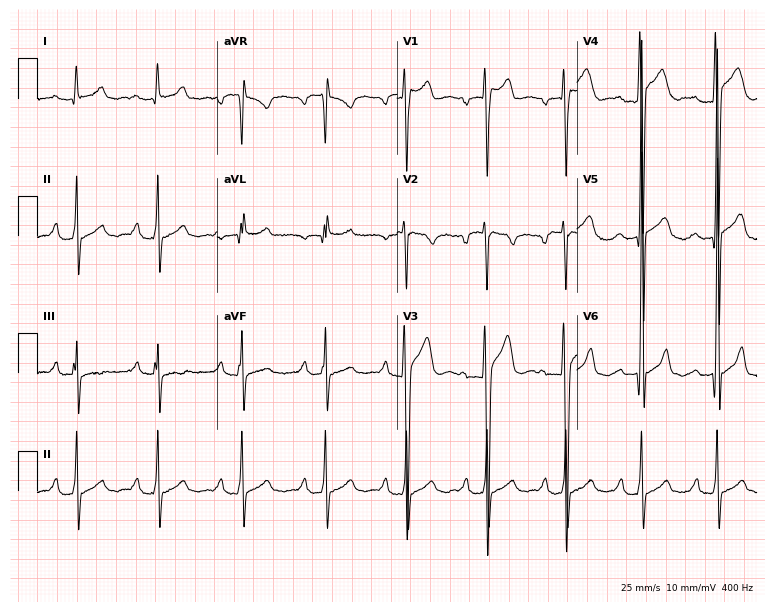
12-lead ECG from a man, 30 years old (7.3-second recording at 400 Hz). Shows first-degree AV block.